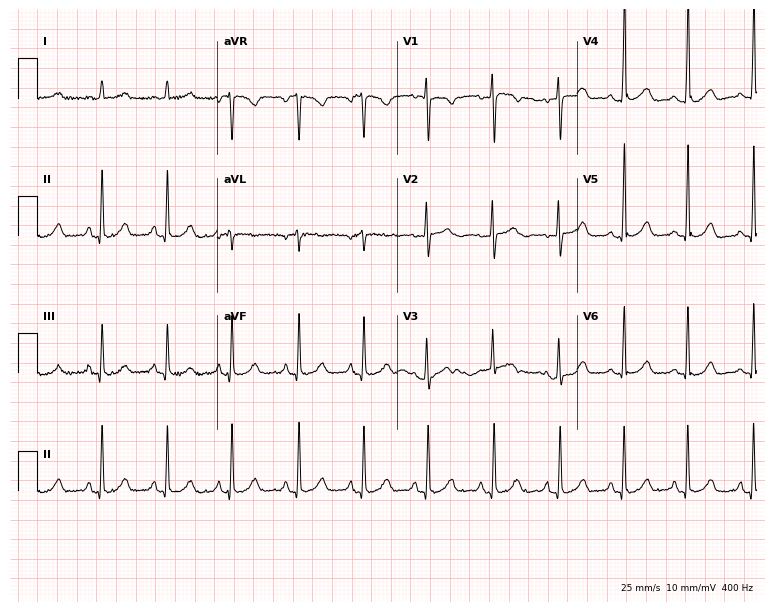
12-lead ECG from a 24-year-old female. Recorded interpretation: within normal limits.